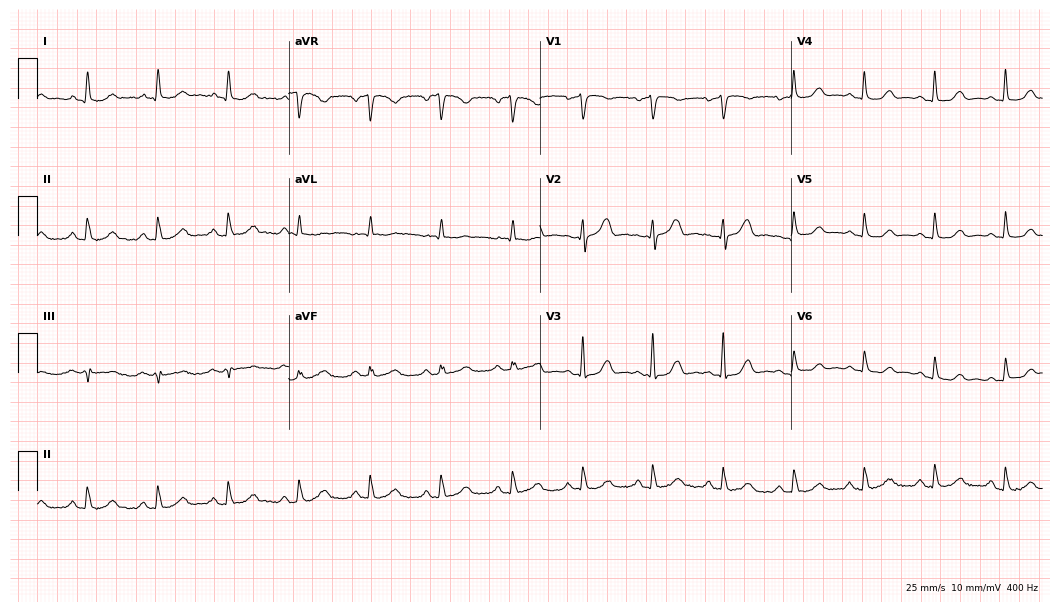
12-lead ECG (10.2-second recording at 400 Hz) from a female, 77 years old. Labelled as a normal ECG.